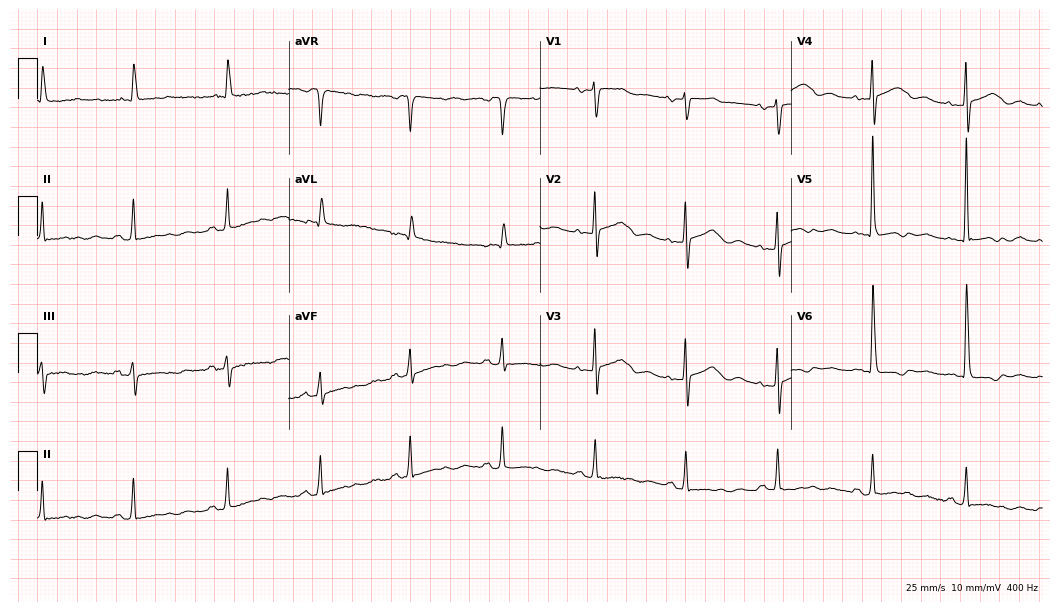
Standard 12-lead ECG recorded from a woman, 85 years old (10.2-second recording at 400 Hz). None of these six findings is recorded: first-degree AV block, right bundle branch block, left bundle branch block, sinus bradycardia, atrial fibrillation, sinus tachycardia. Findings outside these six are not listed.